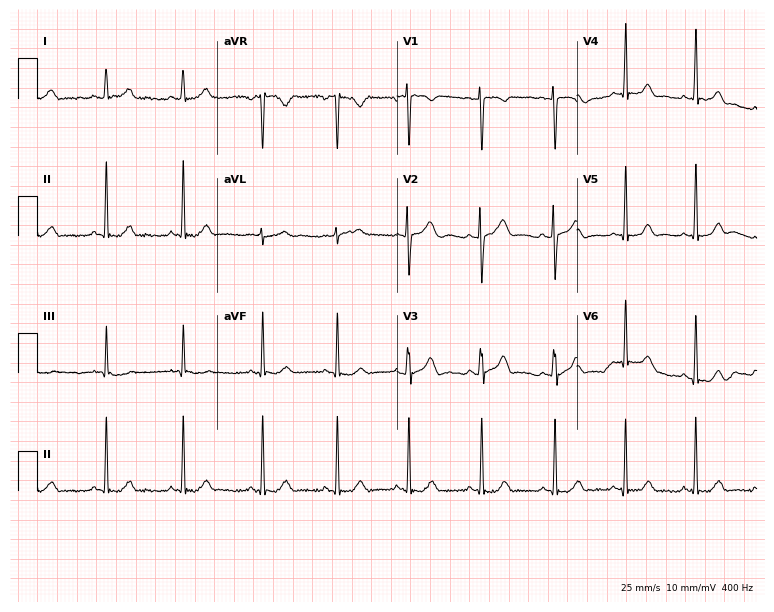
12-lead ECG from a female, 18 years old. Screened for six findings — first-degree AV block, right bundle branch block, left bundle branch block, sinus bradycardia, atrial fibrillation, sinus tachycardia — none is recorded.